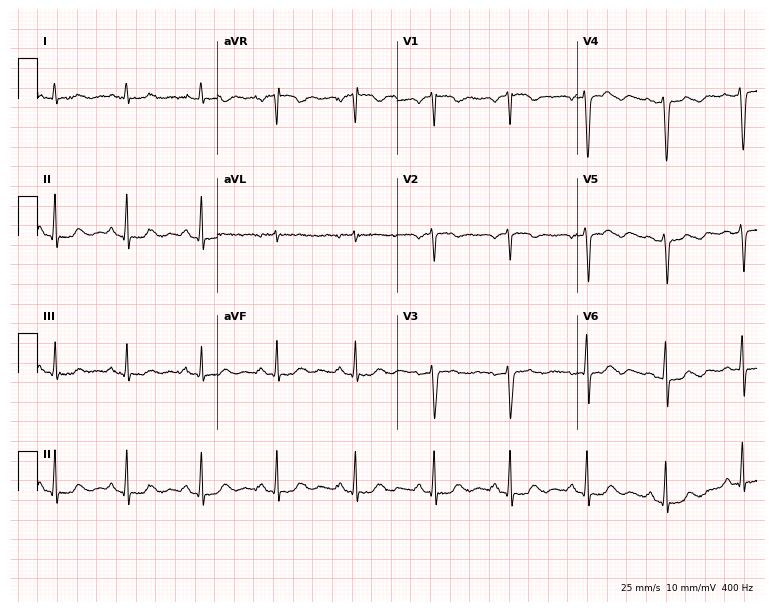
Electrocardiogram (7.3-second recording at 400 Hz), a female patient, 51 years old. Of the six screened findings (first-degree AV block, right bundle branch block, left bundle branch block, sinus bradycardia, atrial fibrillation, sinus tachycardia), none is recorded. Other findings, if any, are not listed.